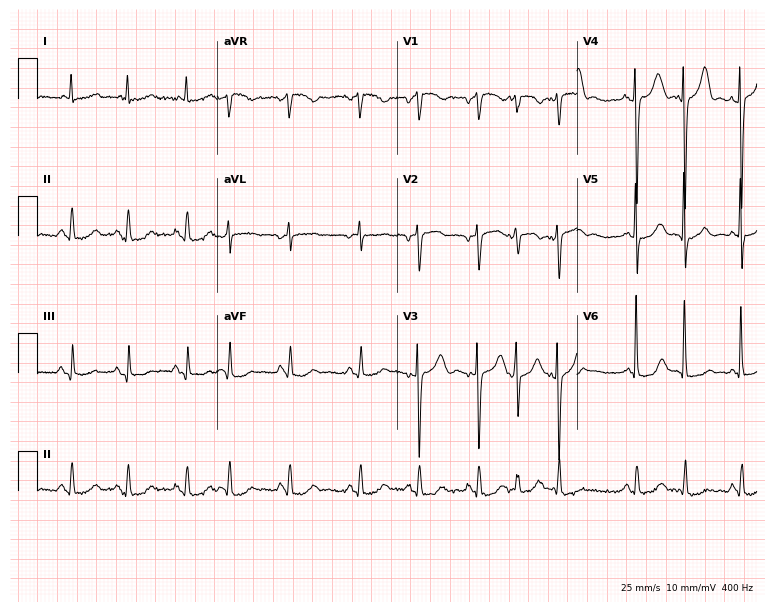
12-lead ECG from an 84-year-old female patient (7.3-second recording at 400 Hz). Recorded interpretation: within normal limits.